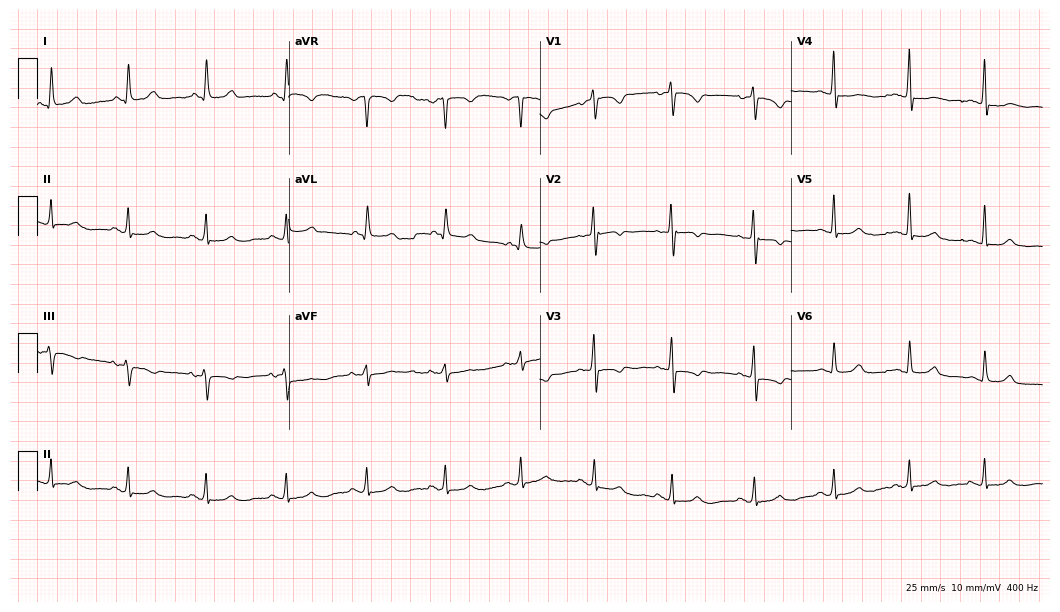
Resting 12-lead electrocardiogram. Patient: a woman, 58 years old. None of these six findings is recorded: first-degree AV block, right bundle branch block, left bundle branch block, sinus bradycardia, atrial fibrillation, sinus tachycardia.